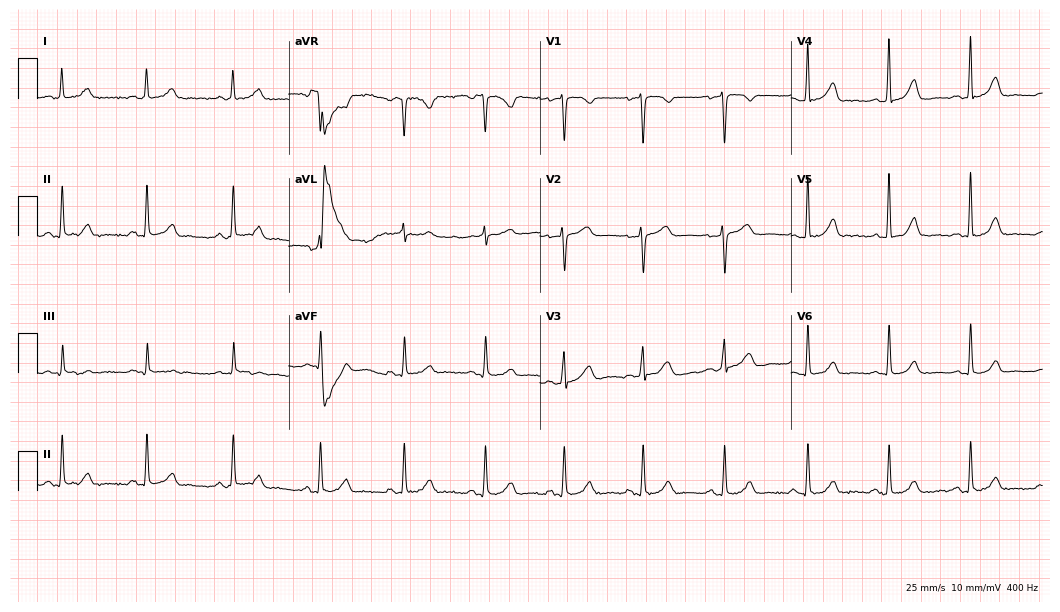
Standard 12-lead ECG recorded from a 42-year-old female. Read as a normal ECG.